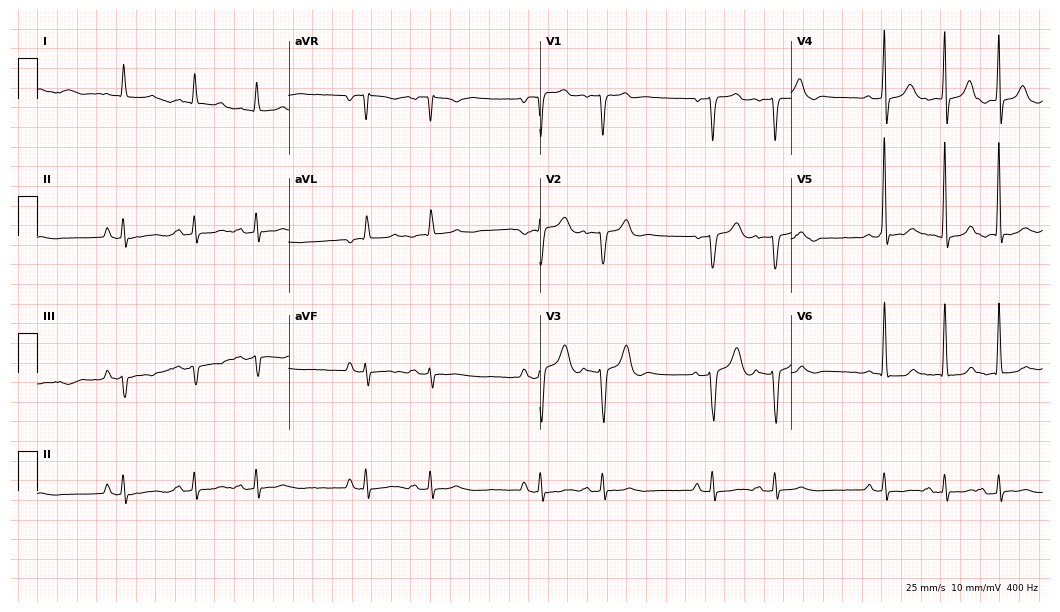
Standard 12-lead ECG recorded from a 75-year-old man. None of these six findings is recorded: first-degree AV block, right bundle branch block (RBBB), left bundle branch block (LBBB), sinus bradycardia, atrial fibrillation (AF), sinus tachycardia.